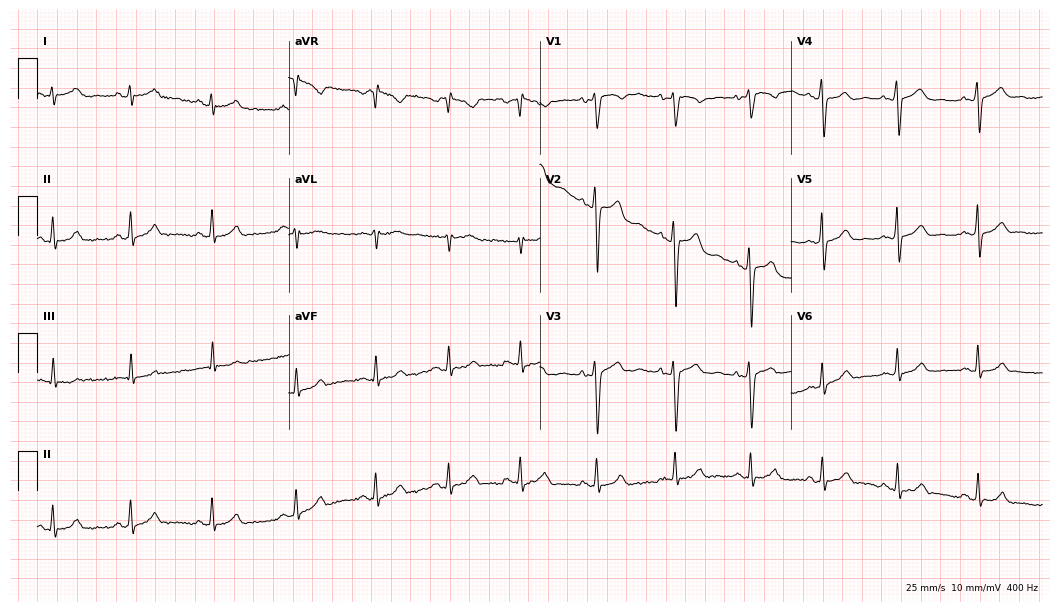
12-lead ECG from a 20-year-old male patient. Labelled as a normal ECG.